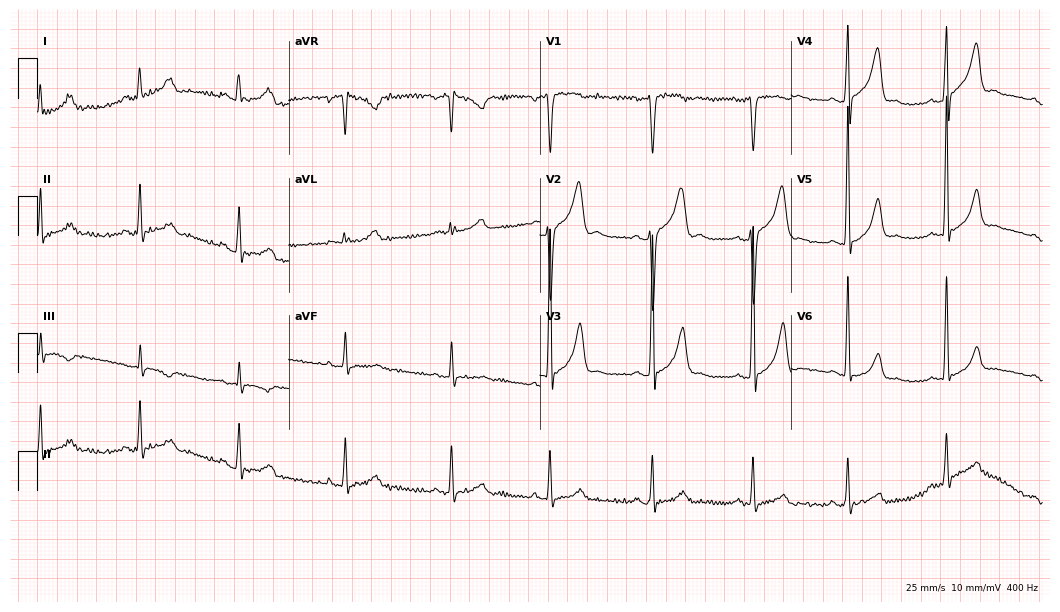
12-lead ECG (10.2-second recording at 400 Hz) from a man, 29 years old. Labelled as a normal ECG.